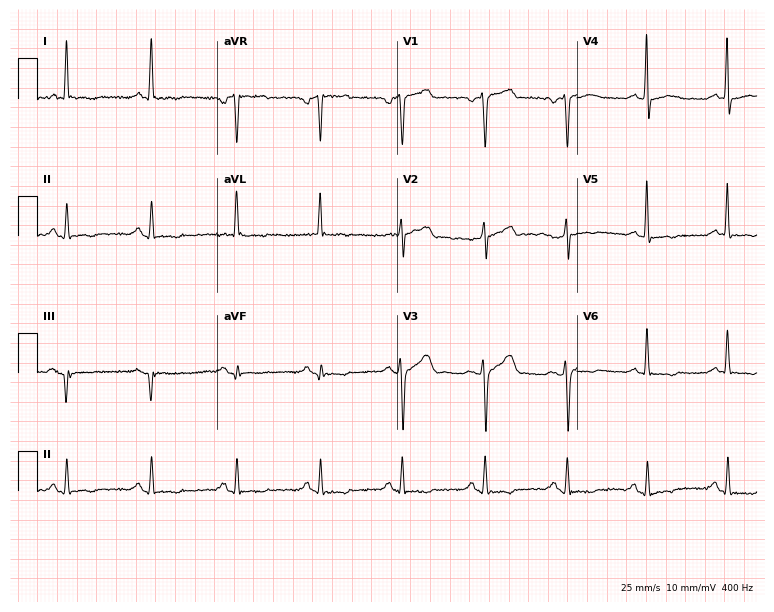
12-lead ECG from a man, 66 years old. Screened for six findings — first-degree AV block, right bundle branch block, left bundle branch block, sinus bradycardia, atrial fibrillation, sinus tachycardia — none is recorded.